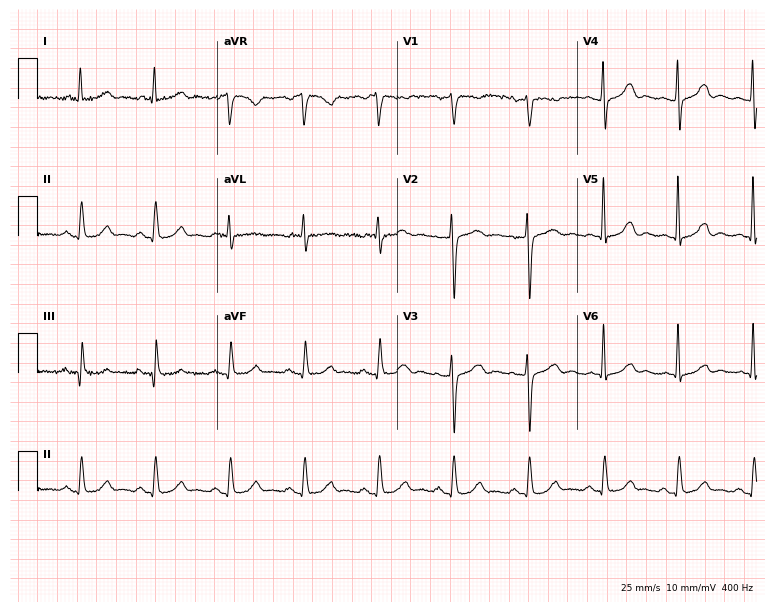
12-lead ECG from a female patient, 77 years old (7.3-second recording at 400 Hz). Recorded interpretation: within normal limits.